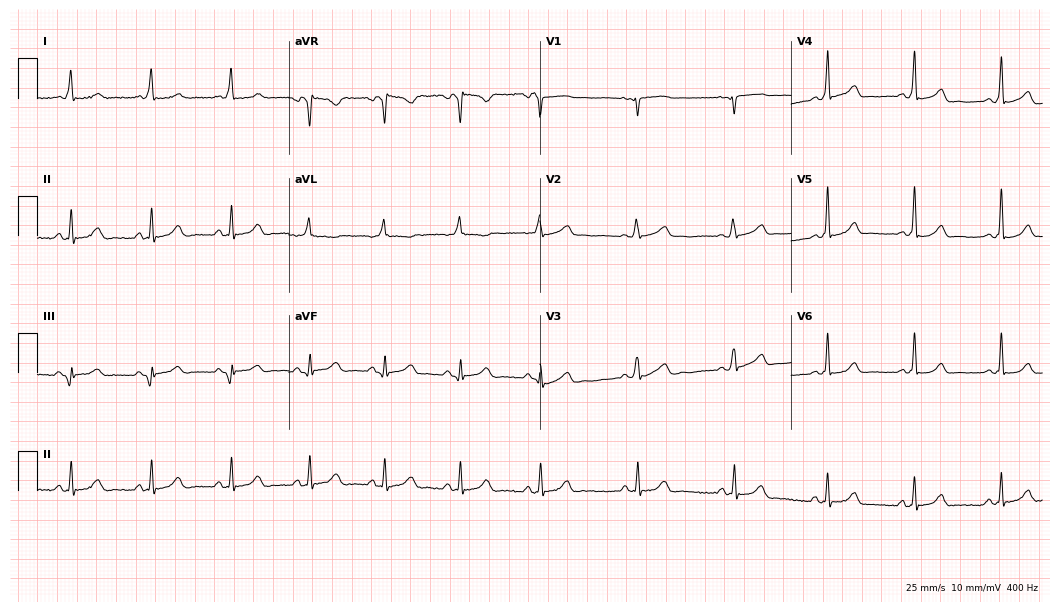
12-lead ECG (10.2-second recording at 400 Hz) from a 28-year-old woman. Screened for six findings — first-degree AV block, right bundle branch block, left bundle branch block, sinus bradycardia, atrial fibrillation, sinus tachycardia — none is recorded.